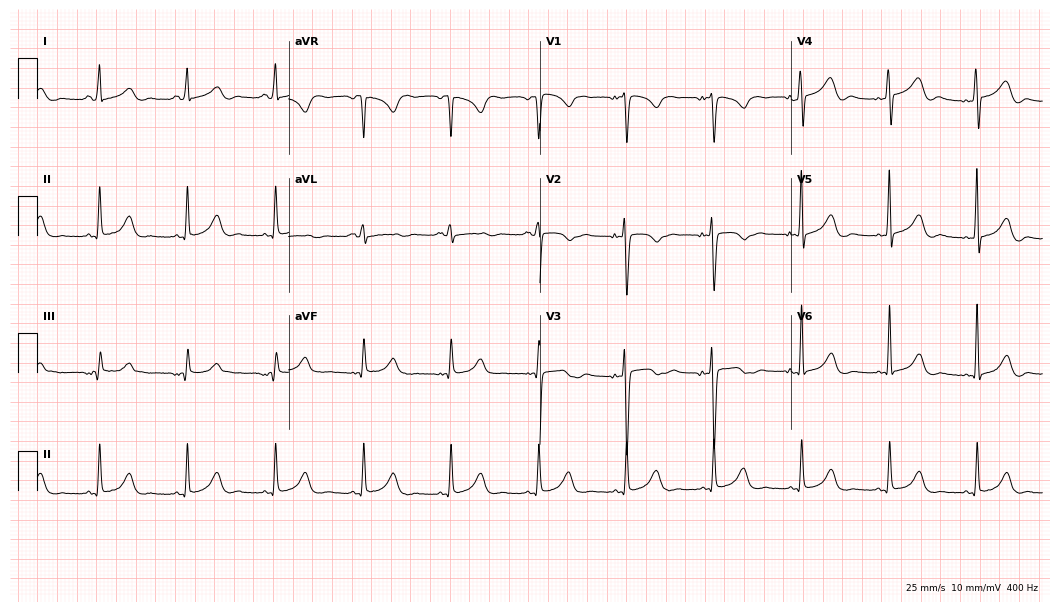
Resting 12-lead electrocardiogram (10.2-second recording at 400 Hz). Patient: a 29-year-old female. None of these six findings is recorded: first-degree AV block, right bundle branch block, left bundle branch block, sinus bradycardia, atrial fibrillation, sinus tachycardia.